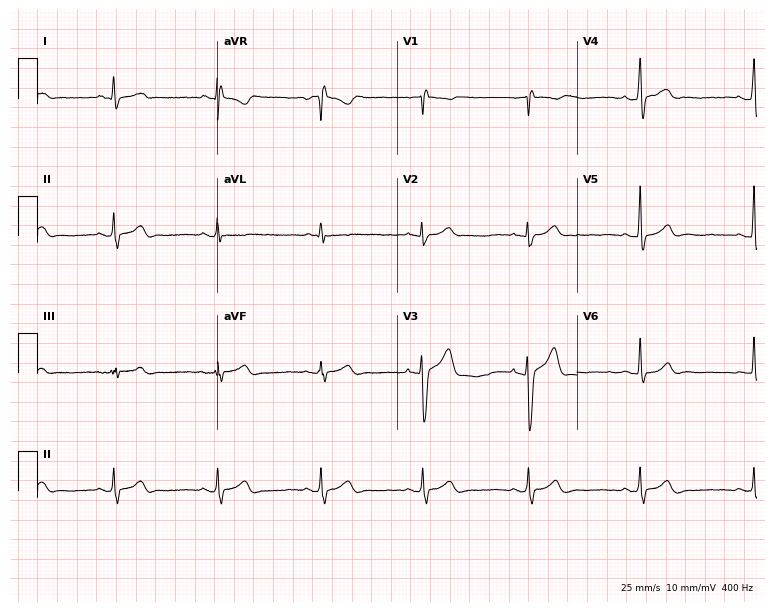
Resting 12-lead electrocardiogram (7.3-second recording at 400 Hz). Patient: an 18-year-old female. None of these six findings is recorded: first-degree AV block, right bundle branch block, left bundle branch block, sinus bradycardia, atrial fibrillation, sinus tachycardia. Only these six findings were labelled.